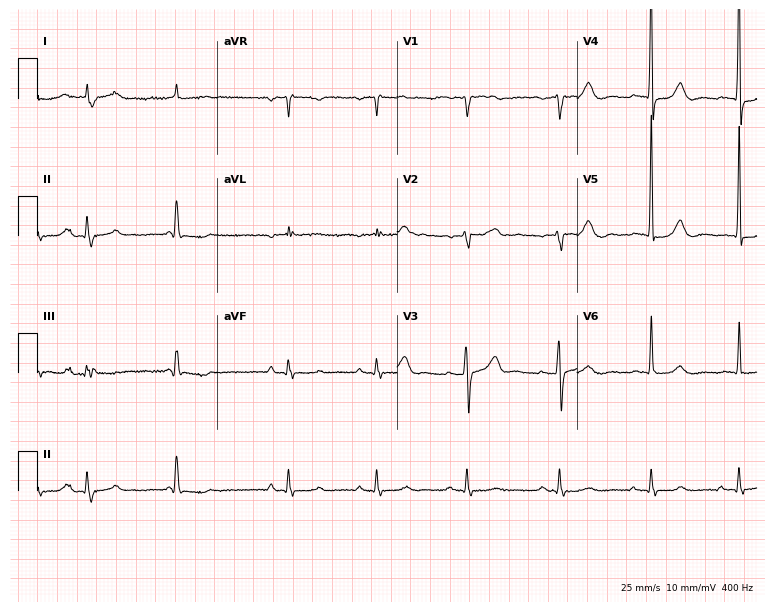
12-lead ECG (7.3-second recording at 400 Hz) from an 81-year-old male patient. Screened for six findings — first-degree AV block, right bundle branch block, left bundle branch block, sinus bradycardia, atrial fibrillation, sinus tachycardia — none is recorded.